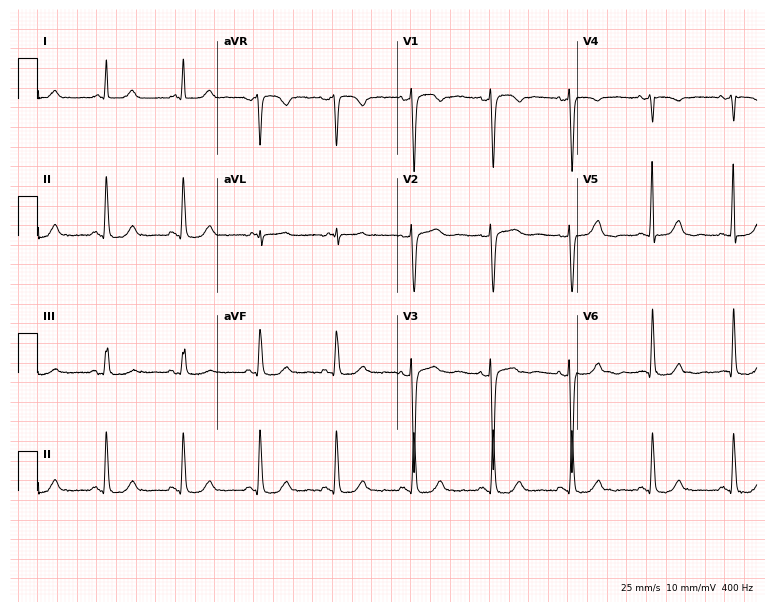
12-lead ECG (7.3-second recording at 400 Hz) from a 48-year-old woman. Screened for six findings — first-degree AV block, right bundle branch block, left bundle branch block, sinus bradycardia, atrial fibrillation, sinus tachycardia — none is recorded. Other findings, if any, are not listed.